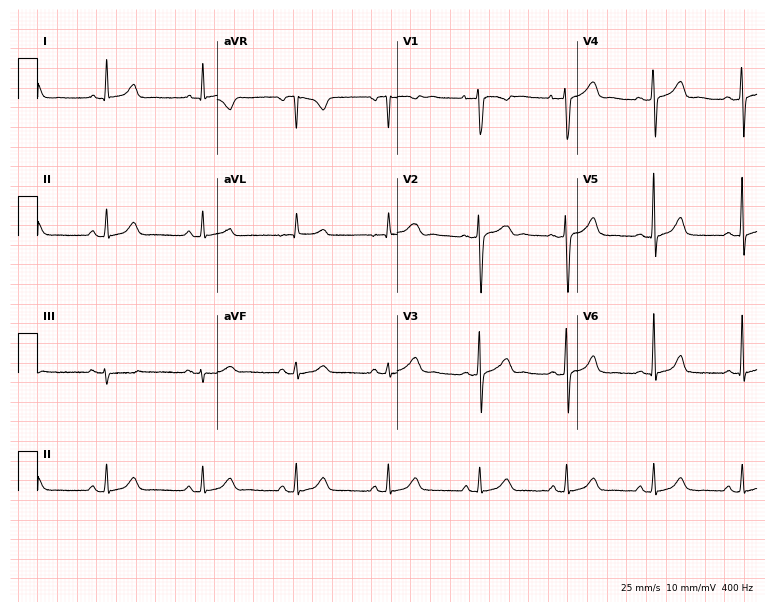
Standard 12-lead ECG recorded from a woman, 27 years old (7.3-second recording at 400 Hz). Read as a normal ECG.